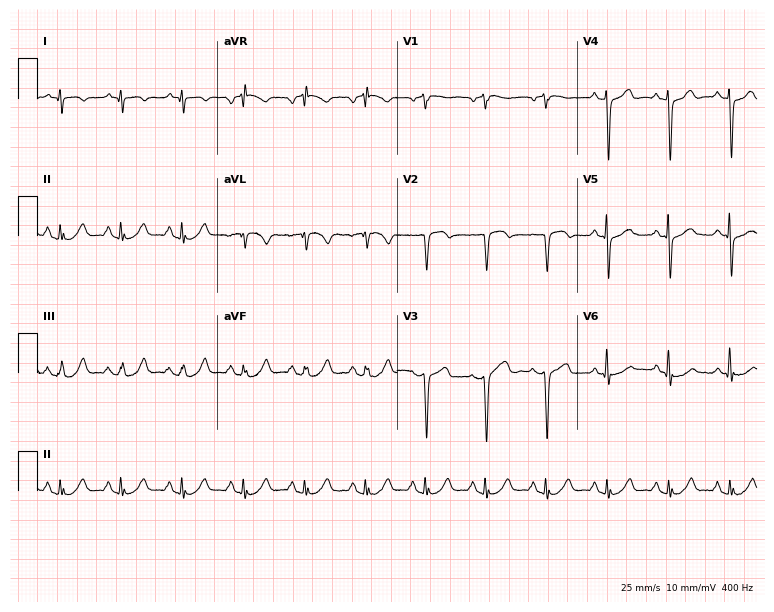
ECG — a man, 72 years old. Screened for six findings — first-degree AV block, right bundle branch block (RBBB), left bundle branch block (LBBB), sinus bradycardia, atrial fibrillation (AF), sinus tachycardia — none is recorded. Only these six findings were labelled.